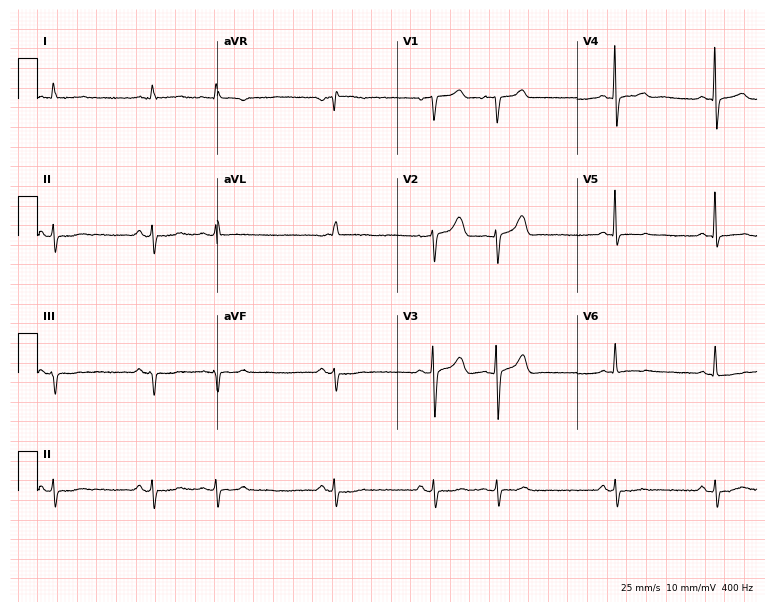
Resting 12-lead electrocardiogram. Patient: a man, 69 years old. None of these six findings is recorded: first-degree AV block, right bundle branch block, left bundle branch block, sinus bradycardia, atrial fibrillation, sinus tachycardia.